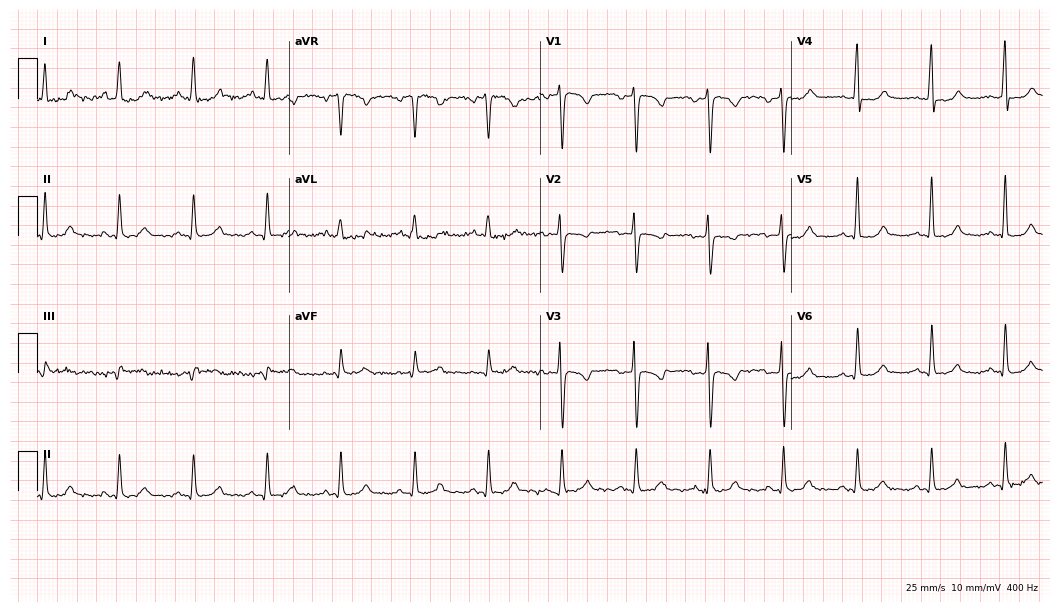
Standard 12-lead ECG recorded from a woman, 31 years old (10.2-second recording at 400 Hz). Read as a normal ECG.